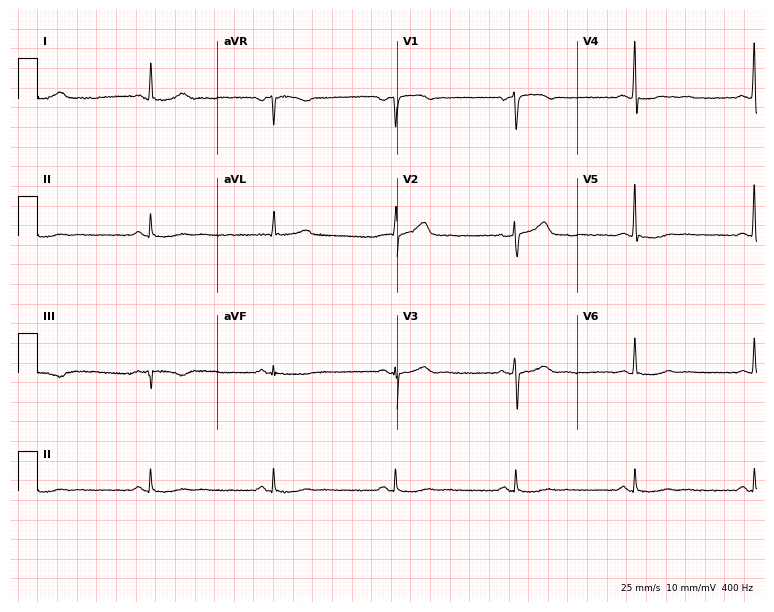
Standard 12-lead ECG recorded from a 63-year-old male (7.3-second recording at 400 Hz). The tracing shows sinus bradycardia (a sinus rate of 50 beats per minute or less).